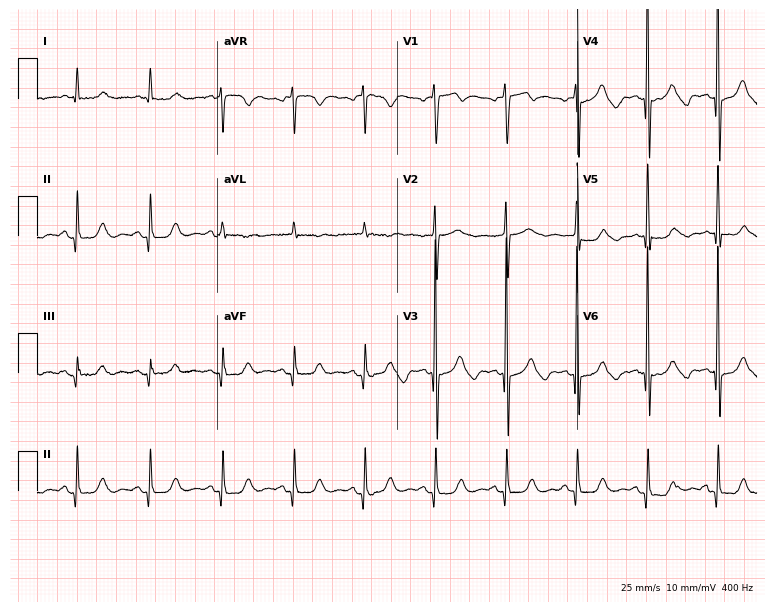
12-lead ECG from a 79-year-old man (7.3-second recording at 400 Hz). No first-degree AV block, right bundle branch block, left bundle branch block, sinus bradycardia, atrial fibrillation or sinus tachycardia recorded for this tracing. Findings outside these six are not listed.